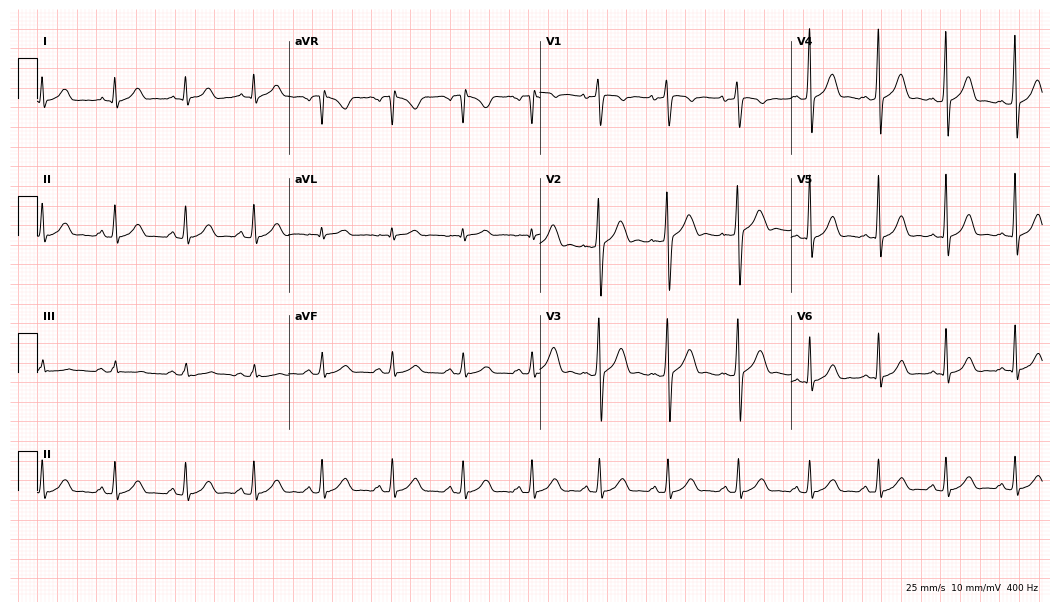
Standard 12-lead ECG recorded from a male, 27 years old (10.2-second recording at 400 Hz). Read as a normal ECG.